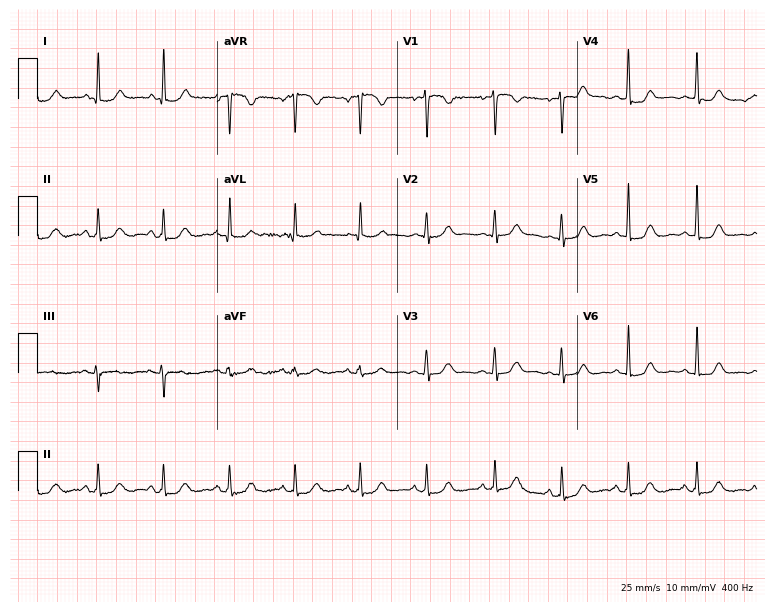
ECG — a female patient, 47 years old. Labelled as a normal ECG.